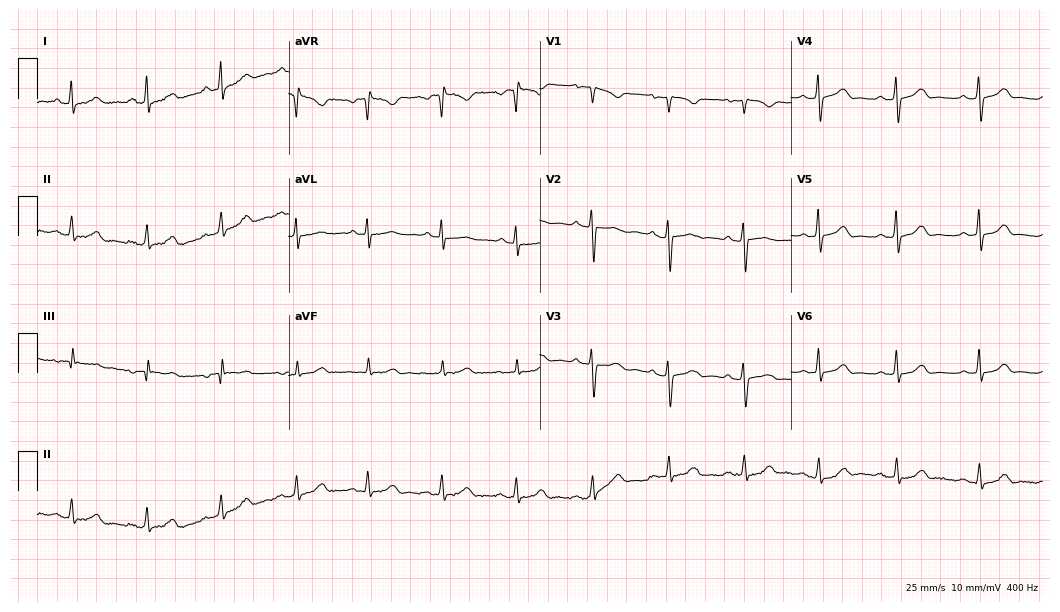
ECG (10.2-second recording at 400 Hz) — a female, 17 years old. Labelled as a normal ECG.